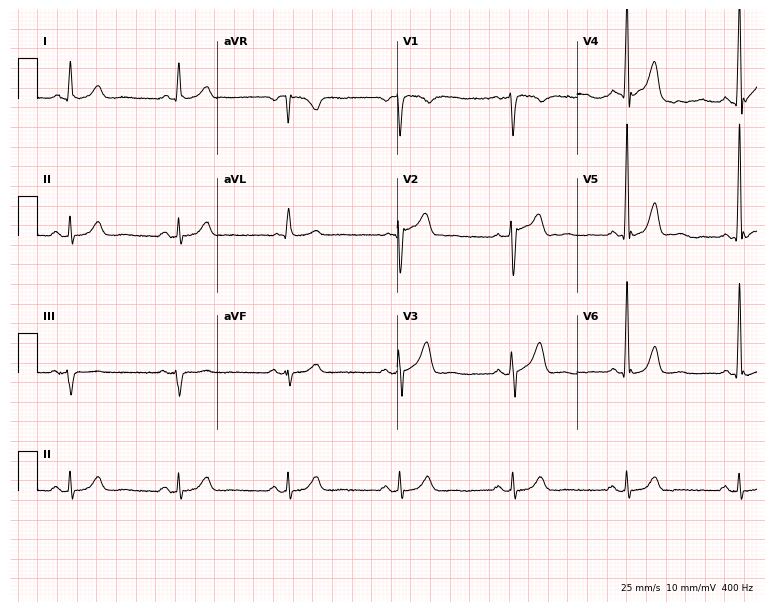
ECG (7.3-second recording at 400 Hz) — a 52-year-old woman. Screened for six findings — first-degree AV block, right bundle branch block, left bundle branch block, sinus bradycardia, atrial fibrillation, sinus tachycardia — none is recorded.